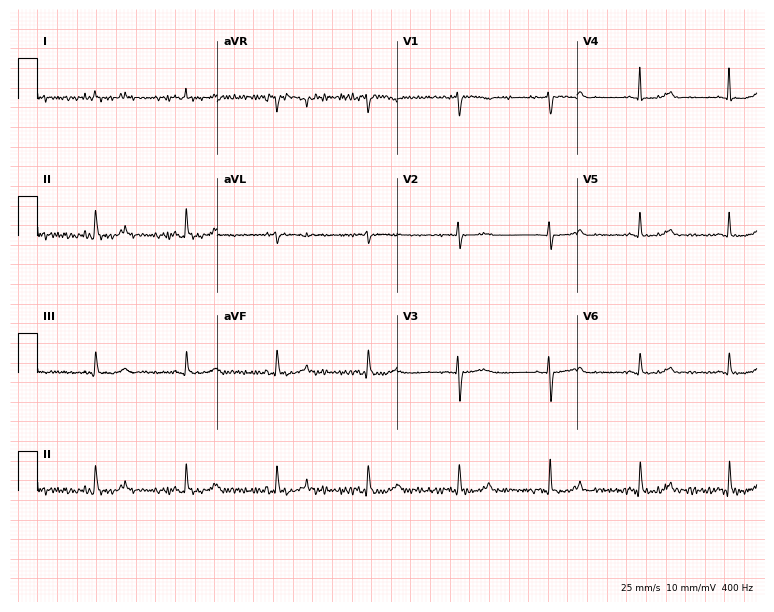
Resting 12-lead electrocardiogram. Patient: a 65-year-old female. None of these six findings is recorded: first-degree AV block, right bundle branch block, left bundle branch block, sinus bradycardia, atrial fibrillation, sinus tachycardia.